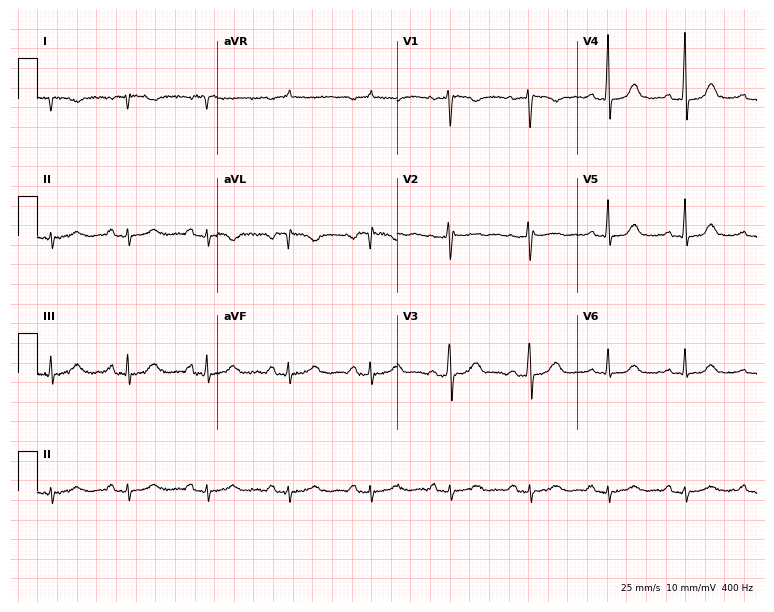
12-lead ECG (7.3-second recording at 400 Hz) from a 48-year-old woman. Screened for six findings — first-degree AV block, right bundle branch block, left bundle branch block, sinus bradycardia, atrial fibrillation, sinus tachycardia — none is recorded. Findings outside these six are not listed.